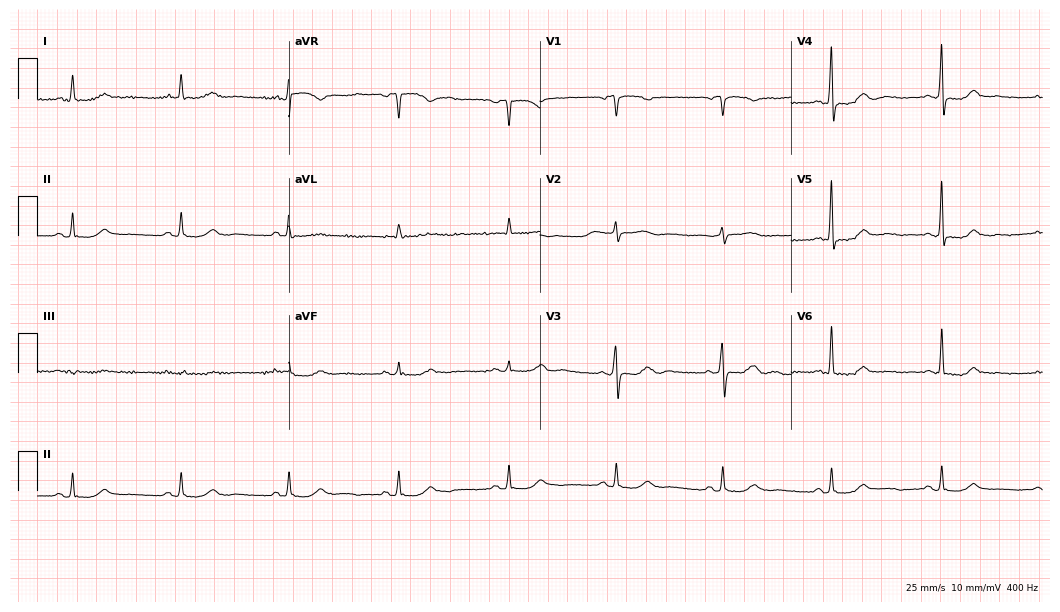
ECG — a 61-year-old female patient. Screened for six findings — first-degree AV block, right bundle branch block, left bundle branch block, sinus bradycardia, atrial fibrillation, sinus tachycardia — none is recorded.